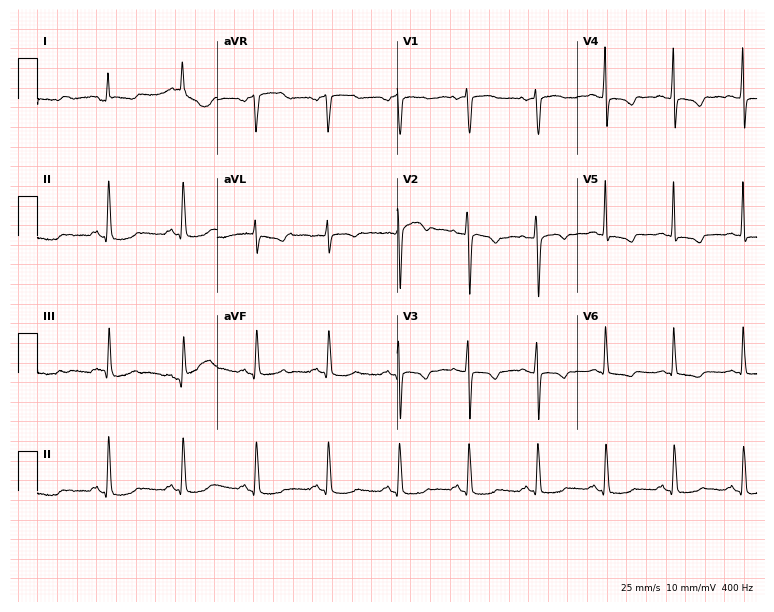
Resting 12-lead electrocardiogram (7.3-second recording at 400 Hz). Patient: a woman, 54 years old. None of these six findings is recorded: first-degree AV block, right bundle branch block (RBBB), left bundle branch block (LBBB), sinus bradycardia, atrial fibrillation (AF), sinus tachycardia. Other findings, if any, are not listed.